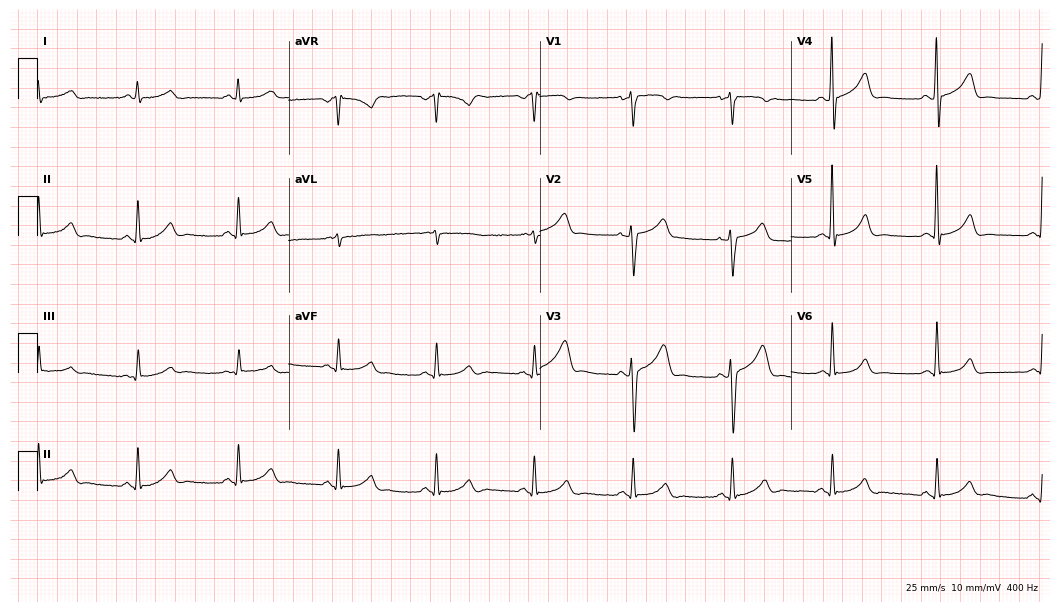
Resting 12-lead electrocardiogram (10.2-second recording at 400 Hz). Patient: a man, 68 years old. Read as a normal ECG.